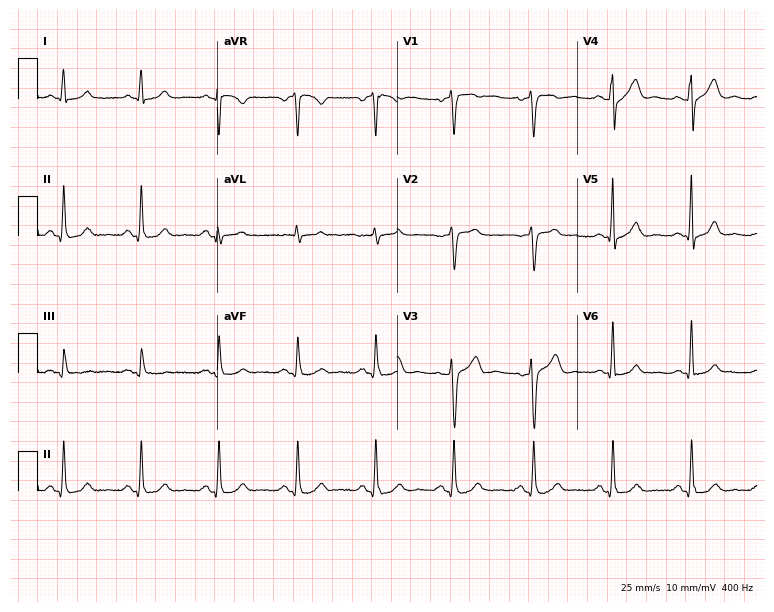
Resting 12-lead electrocardiogram. Patient: a 52-year-old male. Read as a normal ECG.